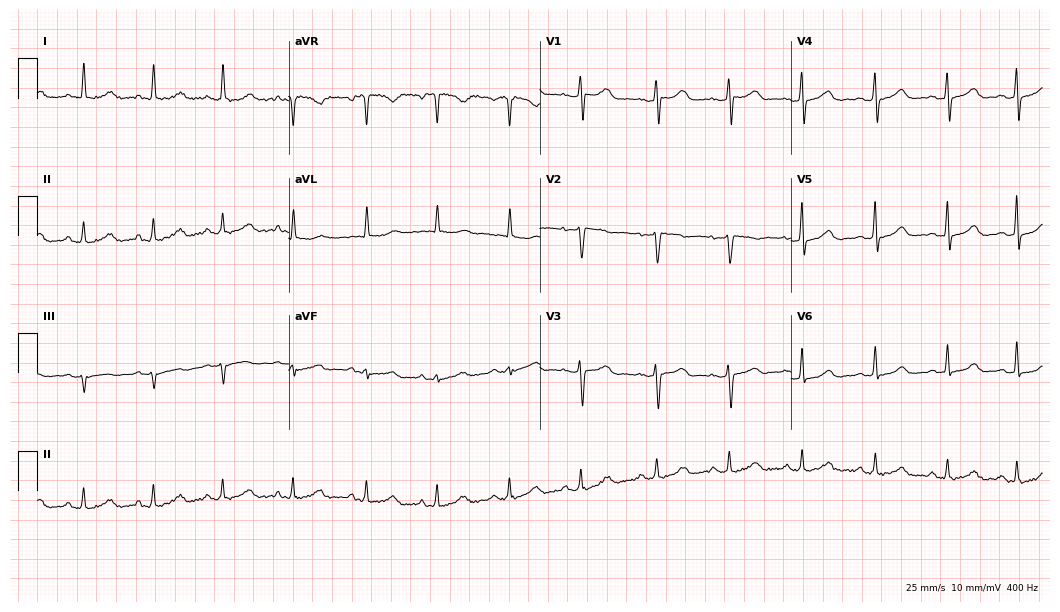
12-lead ECG (10.2-second recording at 400 Hz) from a female, 54 years old. Labelled as a normal ECG.